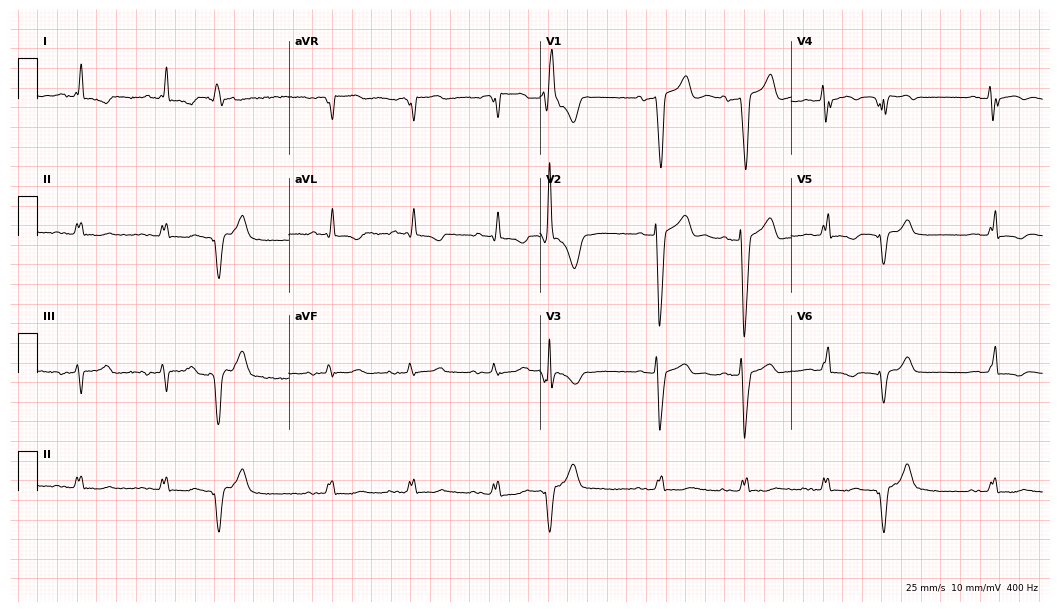
ECG (10.2-second recording at 400 Hz) — a male, 78 years old. Findings include left bundle branch block (LBBB).